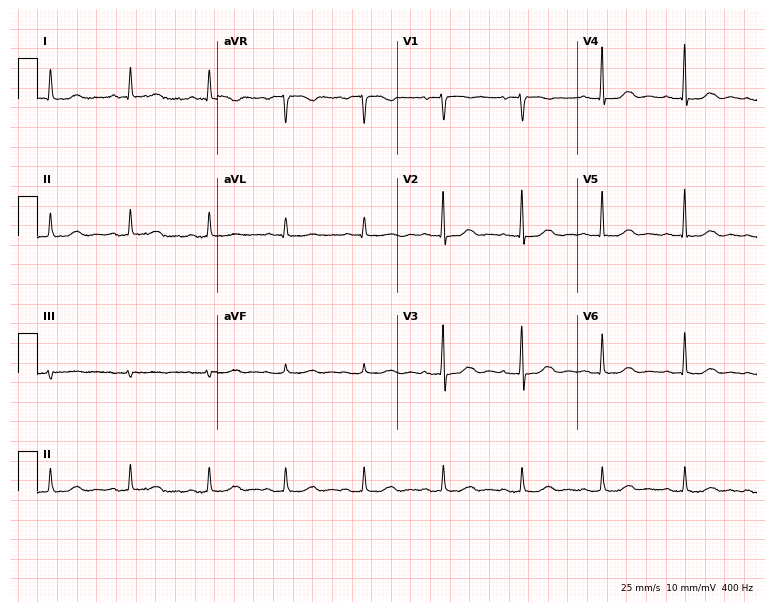
Standard 12-lead ECG recorded from a woman, 78 years old. Read as a normal ECG.